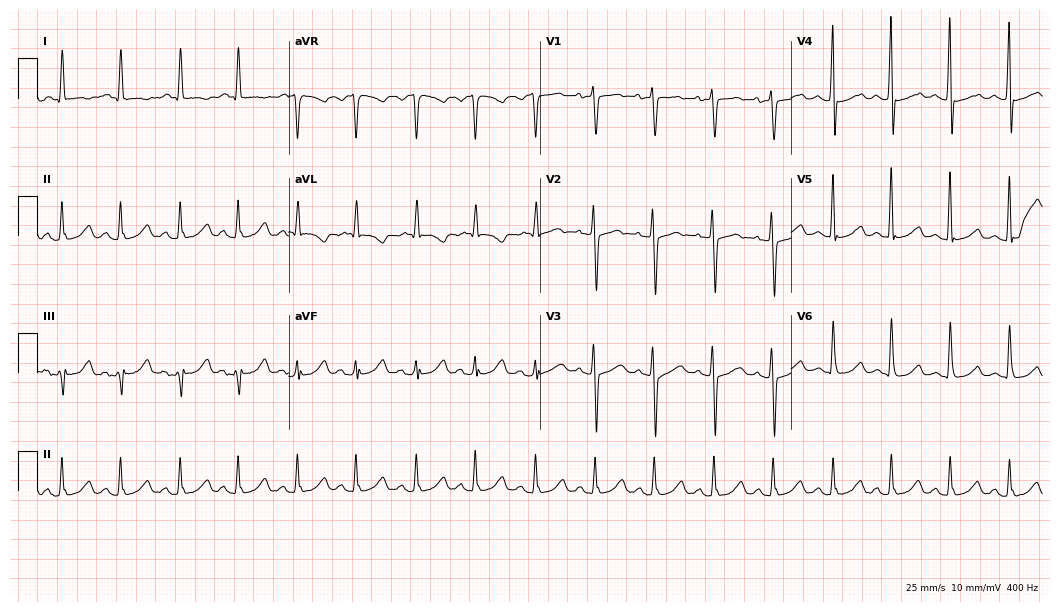
12-lead ECG from a 79-year-old woman. No first-degree AV block, right bundle branch block, left bundle branch block, sinus bradycardia, atrial fibrillation or sinus tachycardia recorded for this tracing. Findings outside these six are not listed.